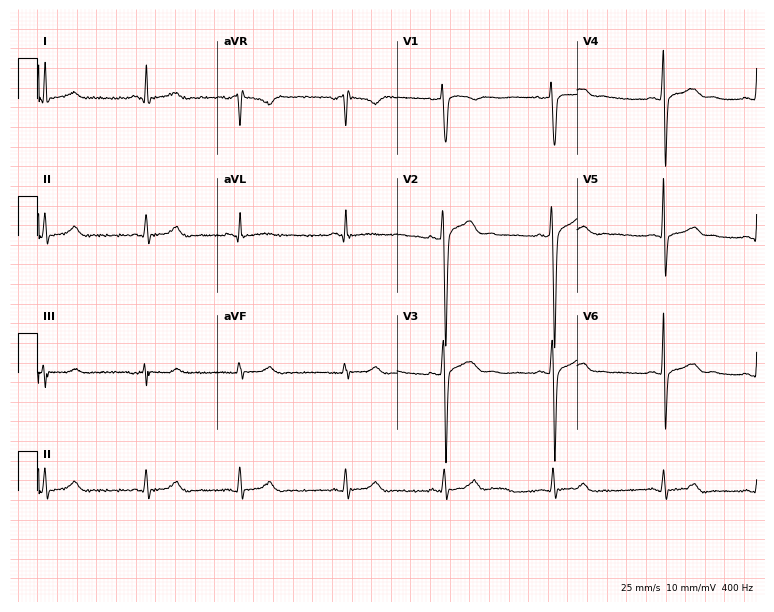
12-lead ECG (7.3-second recording at 400 Hz) from a 33-year-old male patient. Screened for six findings — first-degree AV block, right bundle branch block, left bundle branch block, sinus bradycardia, atrial fibrillation, sinus tachycardia — none is recorded.